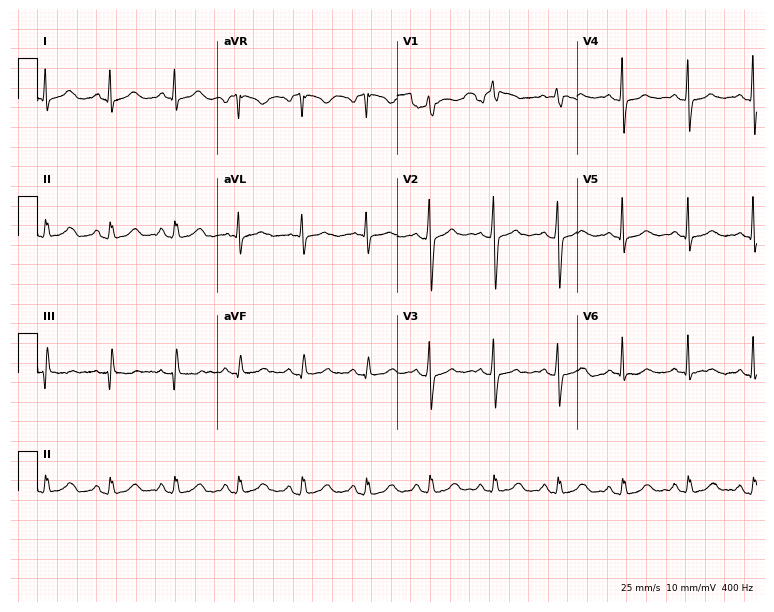
ECG (7.3-second recording at 400 Hz) — a female, 39 years old. Labelled as a normal ECG.